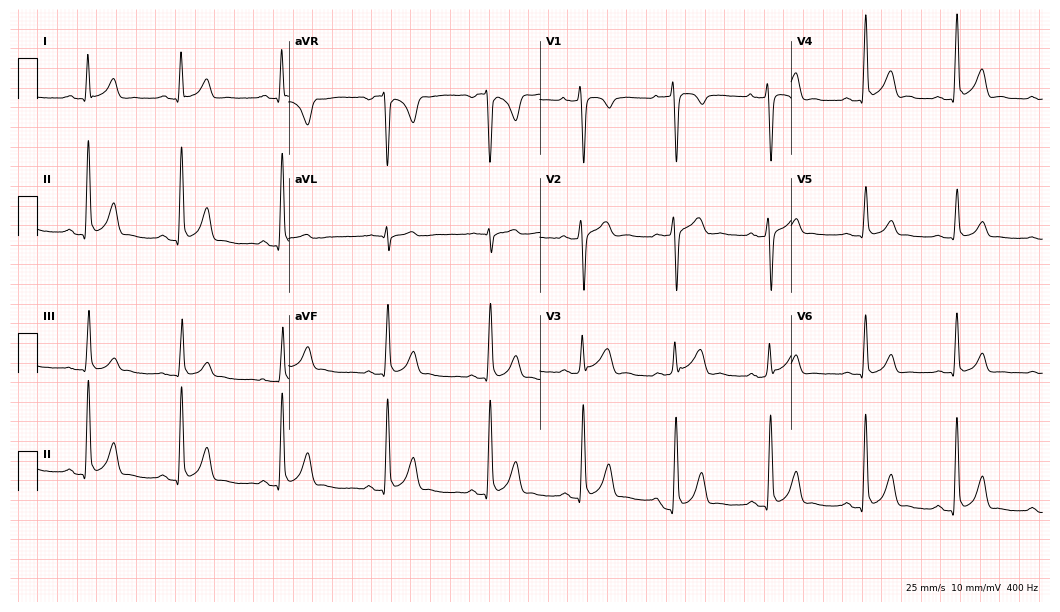
12-lead ECG (10.2-second recording at 400 Hz) from a male patient, 22 years old. Screened for six findings — first-degree AV block, right bundle branch block (RBBB), left bundle branch block (LBBB), sinus bradycardia, atrial fibrillation (AF), sinus tachycardia — none is recorded.